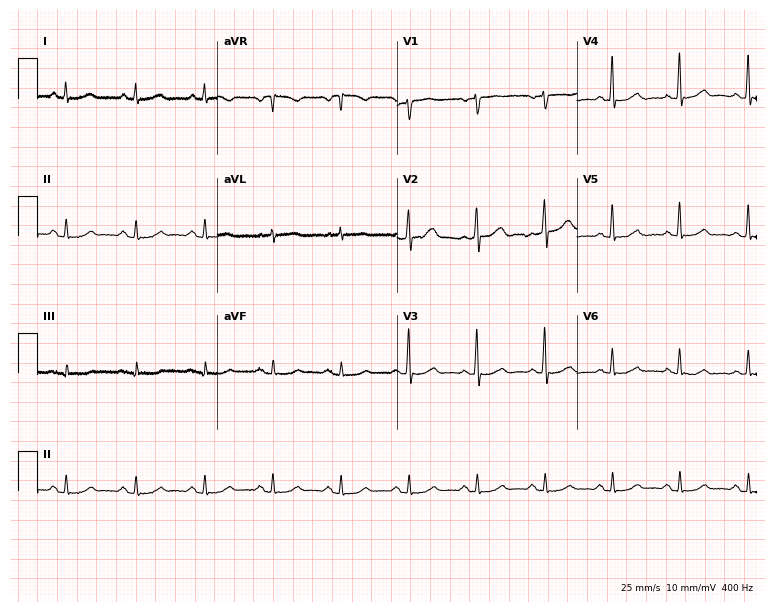
Electrocardiogram (7.3-second recording at 400 Hz), a male patient, 69 years old. Overall reading on record: normal ECG.